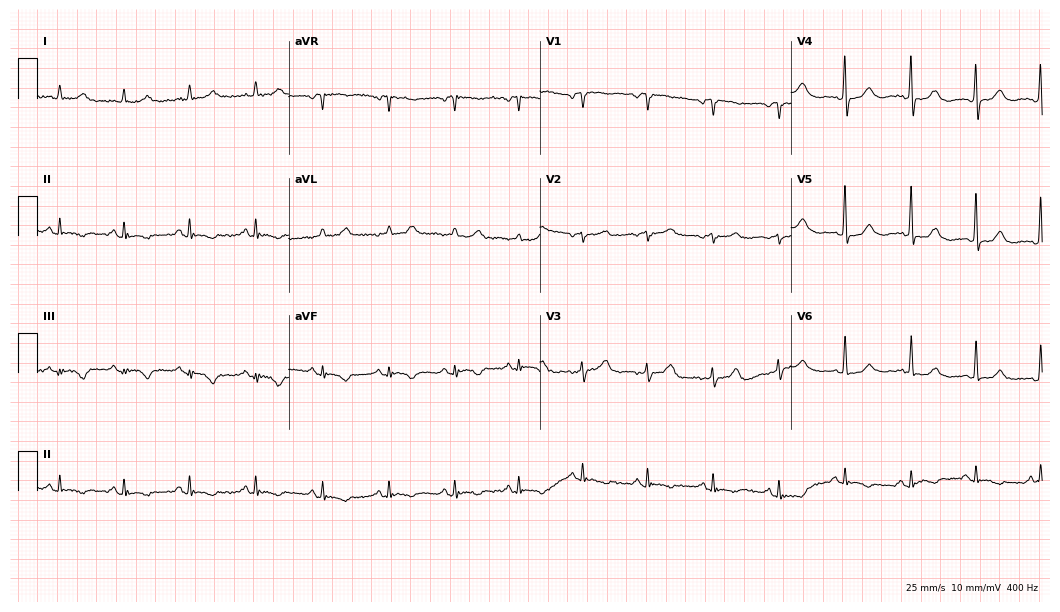
ECG (10.2-second recording at 400 Hz) — a 72-year-old female. Screened for six findings — first-degree AV block, right bundle branch block, left bundle branch block, sinus bradycardia, atrial fibrillation, sinus tachycardia — none is recorded.